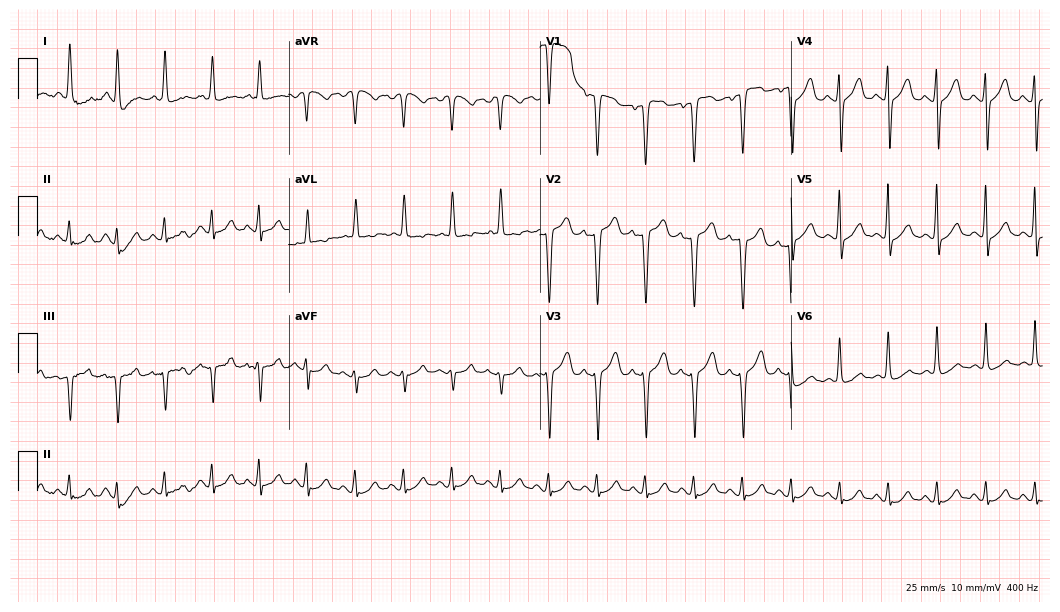
Standard 12-lead ECG recorded from a 61-year-old female patient. The tracing shows sinus tachycardia (a sinus rate of 100 beats per minute or more).